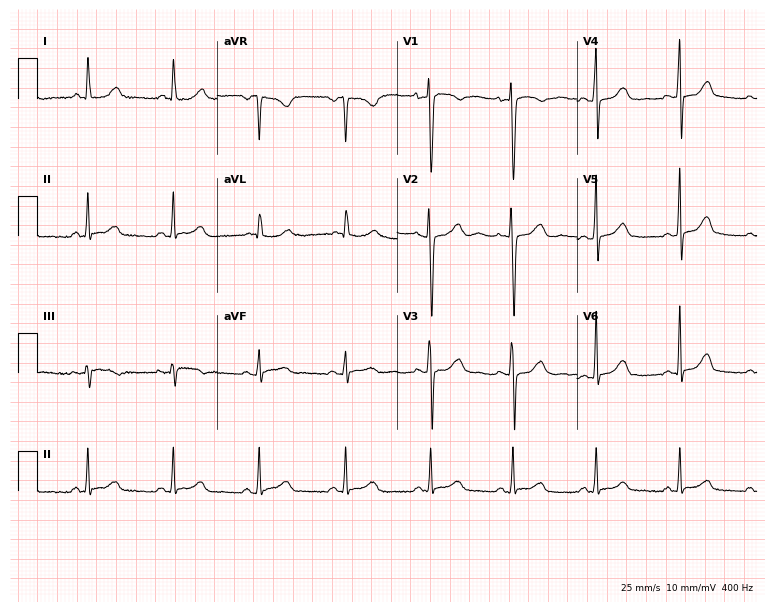
Standard 12-lead ECG recorded from a woman, 38 years old (7.3-second recording at 400 Hz). Read as a normal ECG.